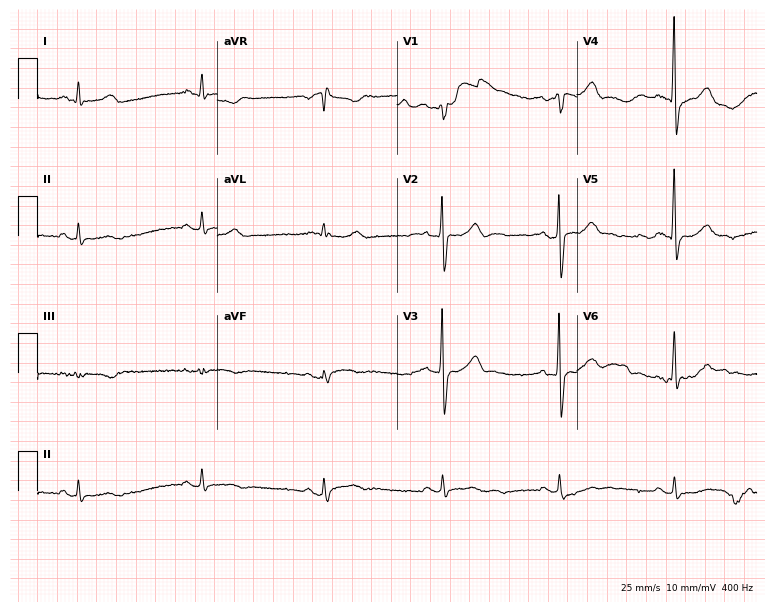
Resting 12-lead electrocardiogram (7.3-second recording at 400 Hz). Patient: a 39-year-old male. None of these six findings is recorded: first-degree AV block, right bundle branch block, left bundle branch block, sinus bradycardia, atrial fibrillation, sinus tachycardia. Only these six findings were labelled.